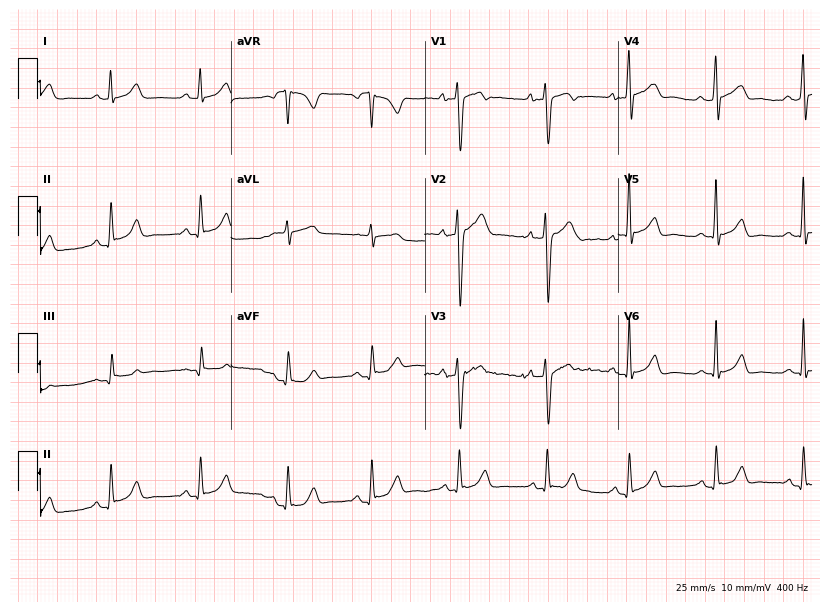
ECG — a 27-year-old man. Labelled as a normal ECG.